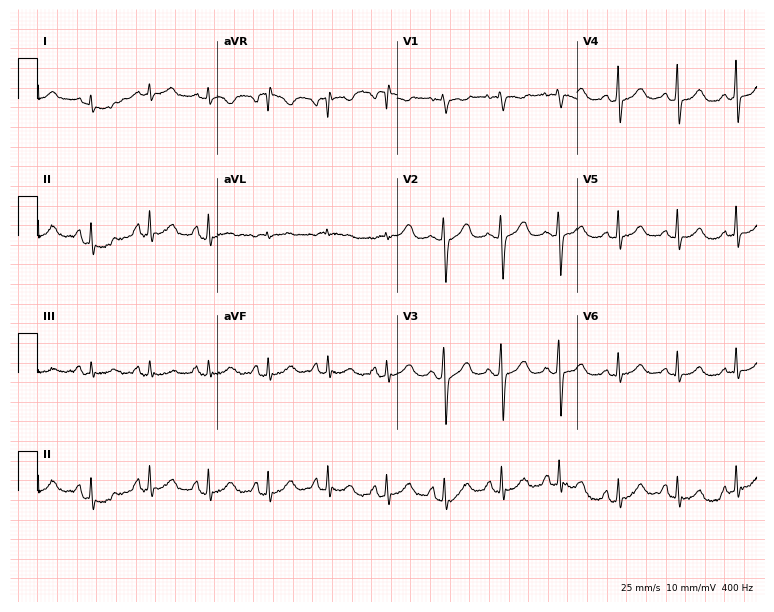
Electrocardiogram (7.3-second recording at 400 Hz), a 22-year-old female. Overall reading on record: normal ECG.